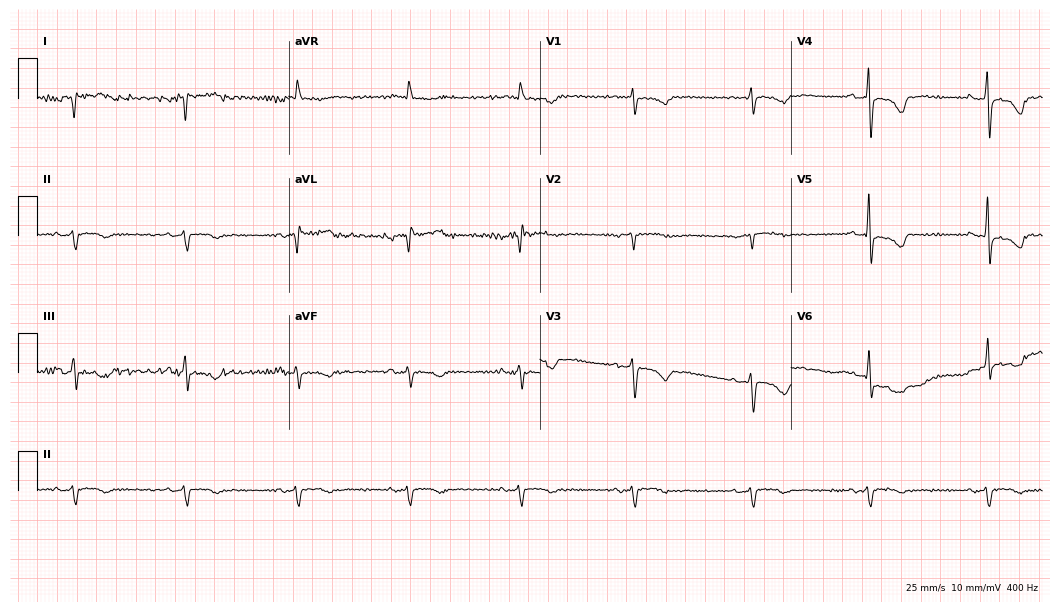
12-lead ECG from a 74-year-old female (10.2-second recording at 400 Hz). No first-degree AV block, right bundle branch block, left bundle branch block, sinus bradycardia, atrial fibrillation or sinus tachycardia recorded for this tracing. Other findings, if any, are not listed.